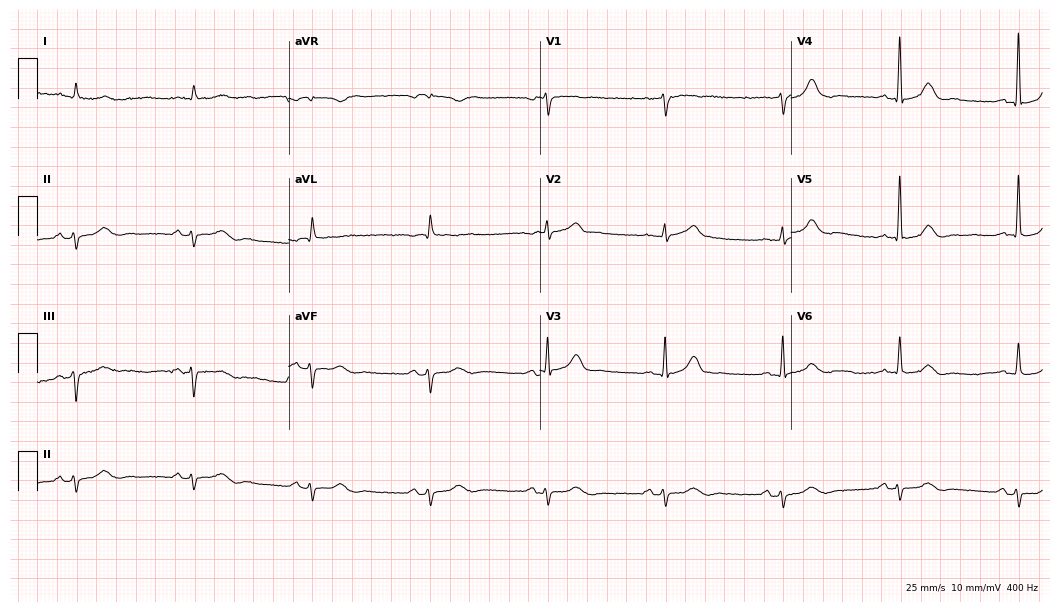
12-lead ECG (10.2-second recording at 400 Hz) from an 84-year-old man. Screened for six findings — first-degree AV block, right bundle branch block (RBBB), left bundle branch block (LBBB), sinus bradycardia, atrial fibrillation (AF), sinus tachycardia — none is recorded.